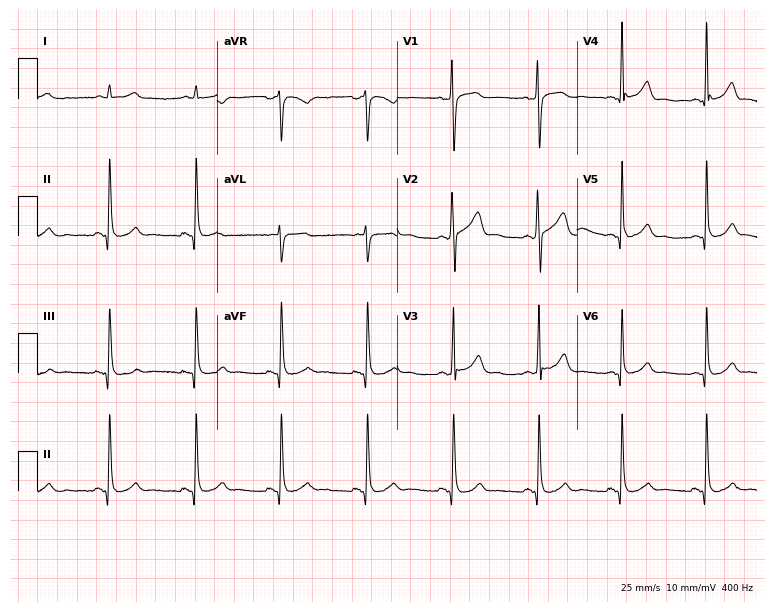
Electrocardiogram (7.3-second recording at 400 Hz), a man, 44 years old. Overall reading on record: normal ECG.